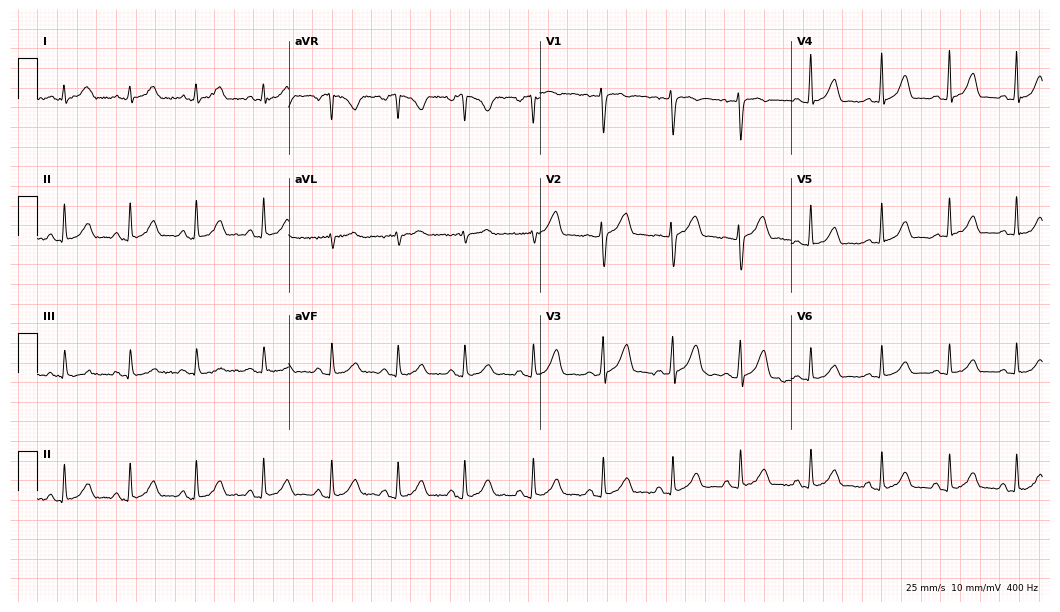
Resting 12-lead electrocardiogram (10.2-second recording at 400 Hz). Patient: a 33-year-old woman. Read as a normal ECG.